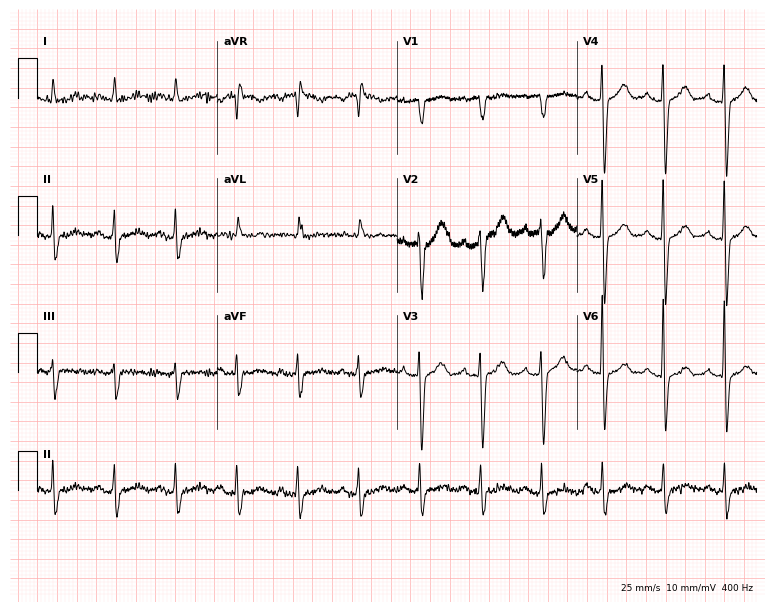
12-lead ECG (7.3-second recording at 400 Hz) from a 77-year-old female patient. Screened for six findings — first-degree AV block, right bundle branch block, left bundle branch block, sinus bradycardia, atrial fibrillation, sinus tachycardia — none is recorded. Findings outside these six are not listed.